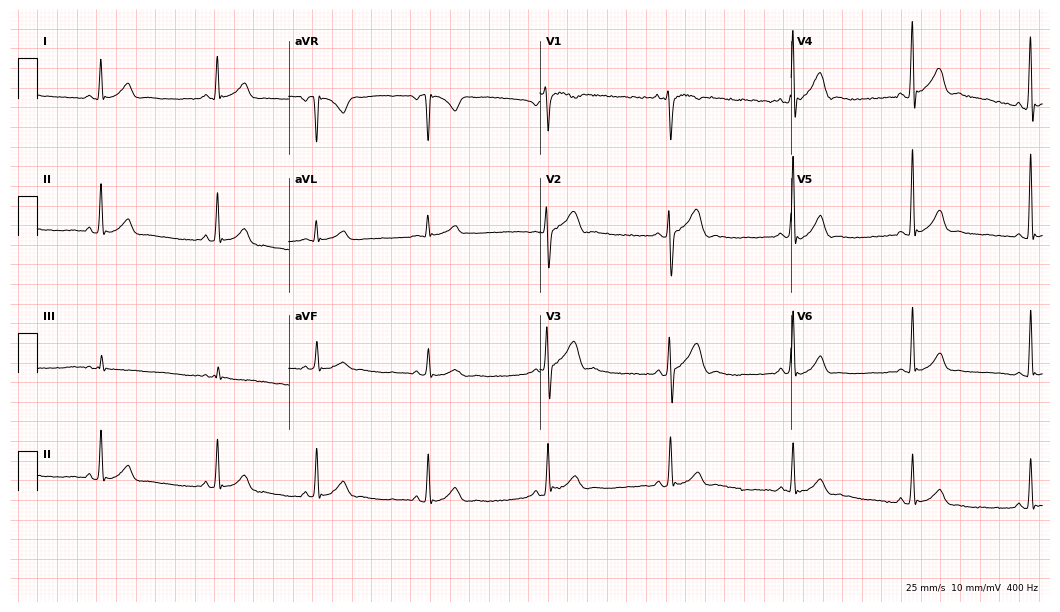
12-lead ECG from a male patient, 25 years old. Recorded interpretation: within normal limits.